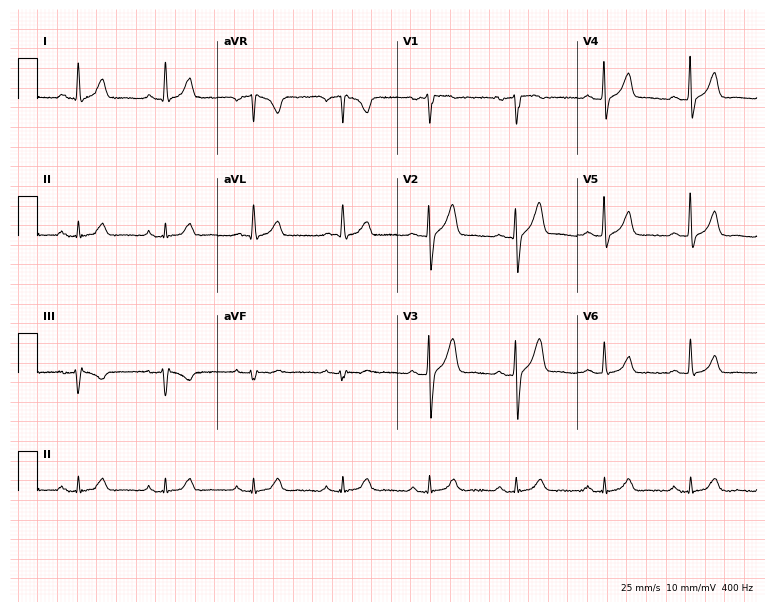
Electrocardiogram (7.3-second recording at 400 Hz), a 48-year-old male. Overall reading on record: normal ECG.